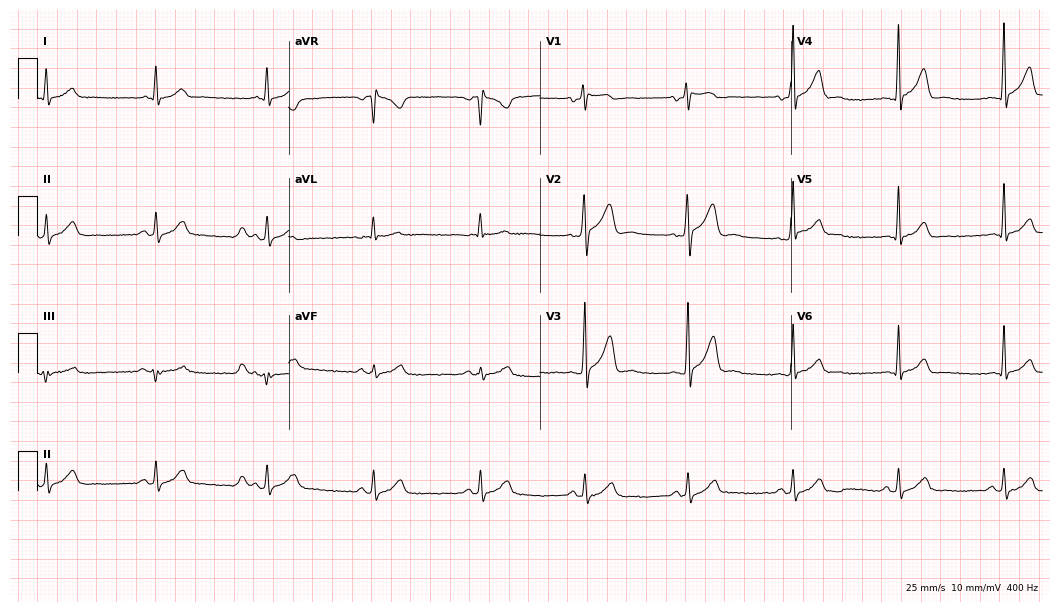
ECG — a male, 46 years old. Labelled as a normal ECG.